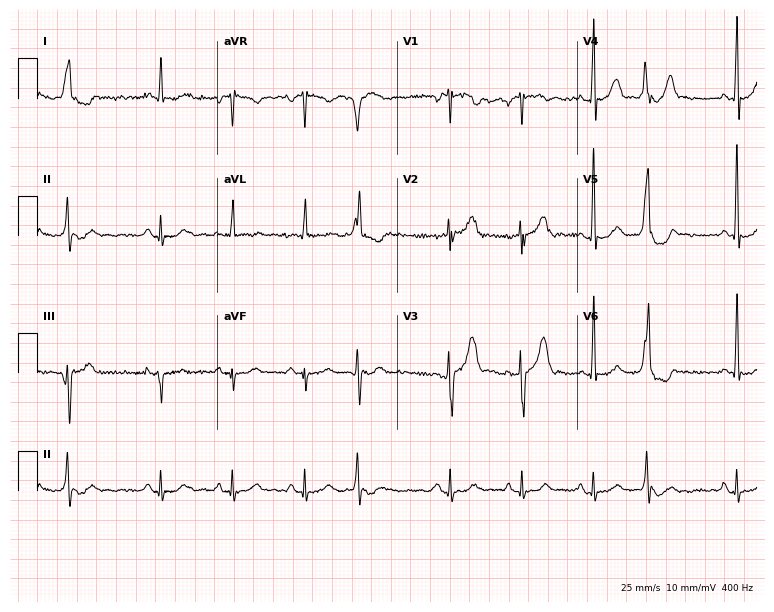
Standard 12-lead ECG recorded from a male, 77 years old. None of these six findings is recorded: first-degree AV block, right bundle branch block (RBBB), left bundle branch block (LBBB), sinus bradycardia, atrial fibrillation (AF), sinus tachycardia. Findings outside these six are not listed.